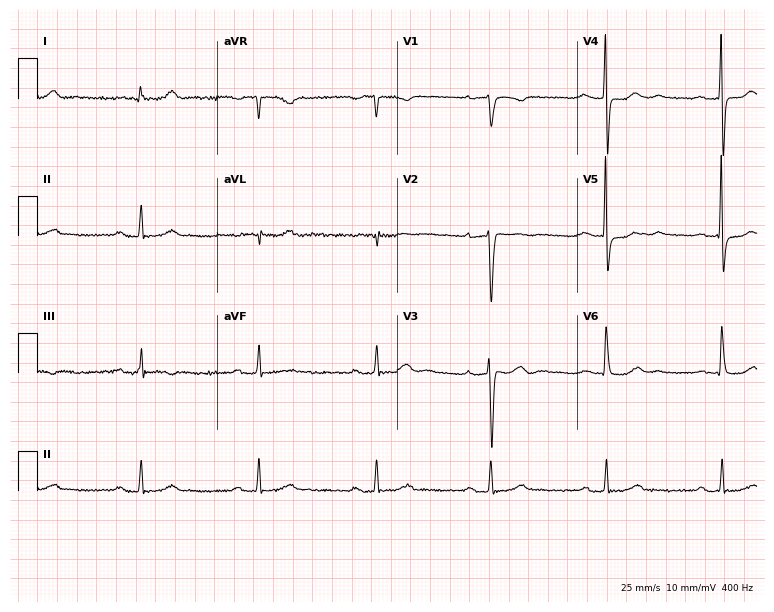
Resting 12-lead electrocardiogram (7.3-second recording at 400 Hz). Patient: a 63-year-old man. The tracing shows first-degree AV block.